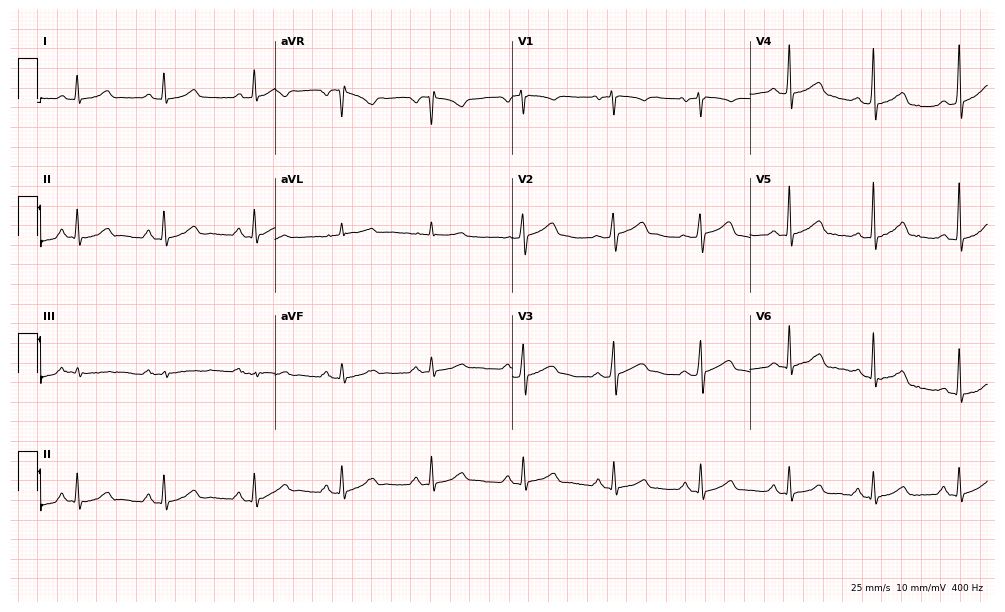
ECG (9.7-second recording at 400 Hz) — a 50-year-old male. Screened for six findings — first-degree AV block, right bundle branch block, left bundle branch block, sinus bradycardia, atrial fibrillation, sinus tachycardia — none is recorded. Other findings, if any, are not listed.